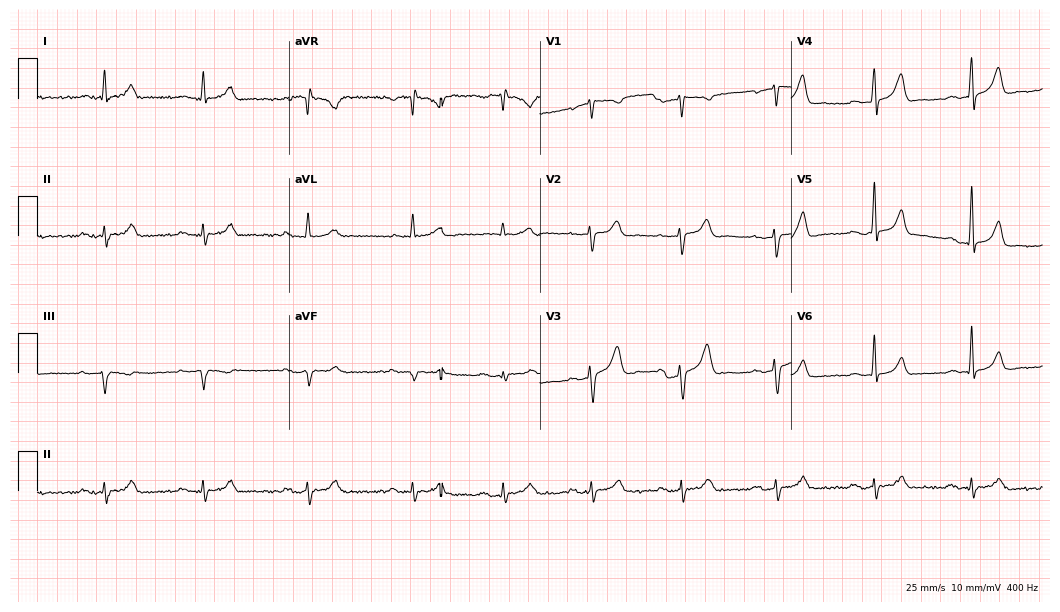
12-lead ECG from a male patient, 51 years old. Findings include first-degree AV block.